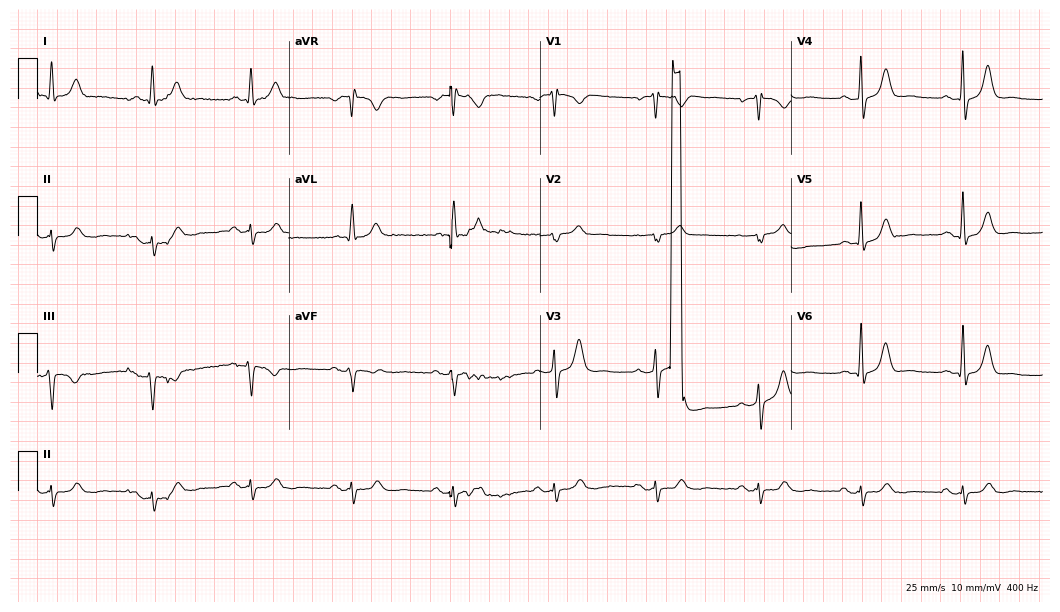
12-lead ECG from a female, 56 years old. No first-degree AV block, right bundle branch block (RBBB), left bundle branch block (LBBB), sinus bradycardia, atrial fibrillation (AF) or sinus tachycardia recorded for this tracing.